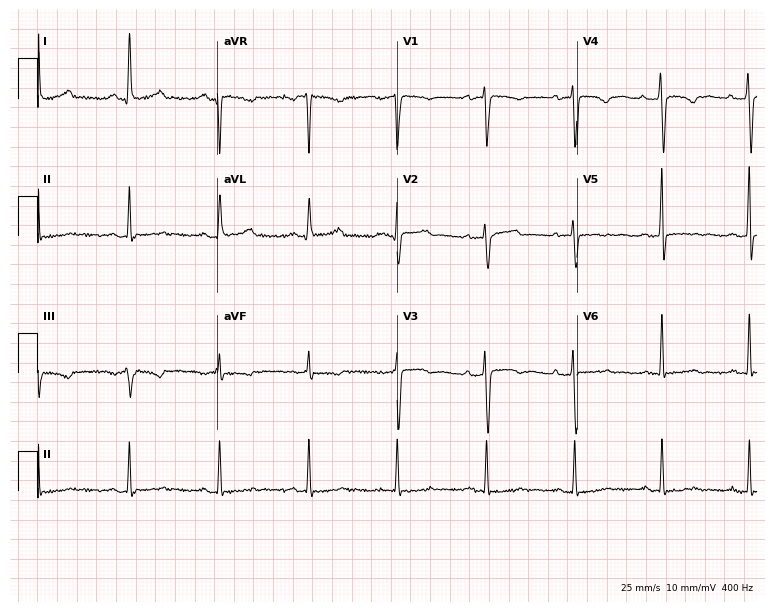
Electrocardiogram (7.3-second recording at 400 Hz), a 63-year-old female. Of the six screened findings (first-degree AV block, right bundle branch block, left bundle branch block, sinus bradycardia, atrial fibrillation, sinus tachycardia), none is recorded.